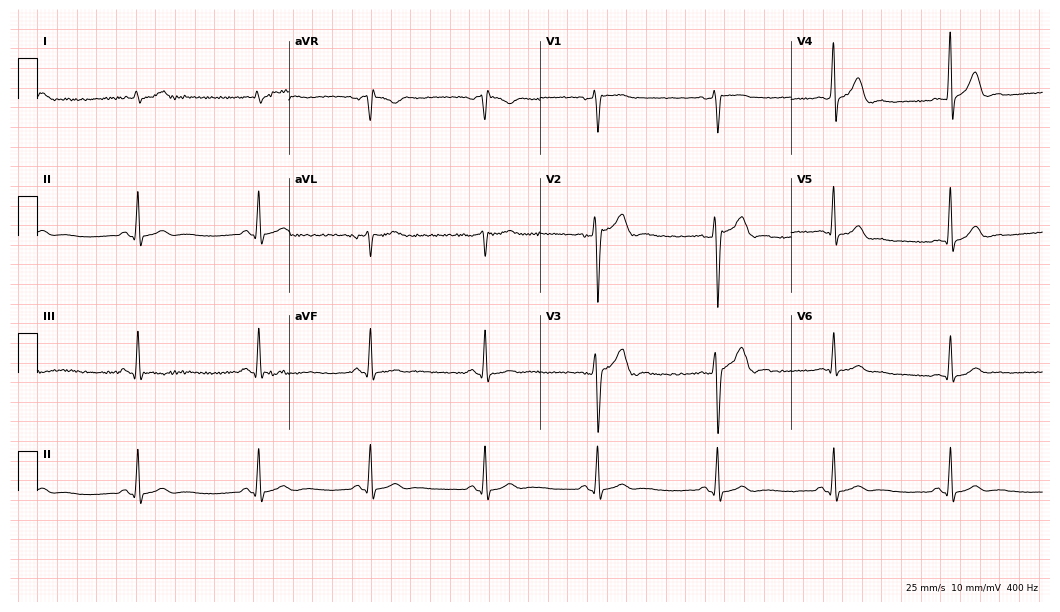
12-lead ECG (10.2-second recording at 400 Hz) from a man, 40 years old. Screened for six findings — first-degree AV block, right bundle branch block, left bundle branch block, sinus bradycardia, atrial fibrillation, sinus tachycardia — none is recorded.